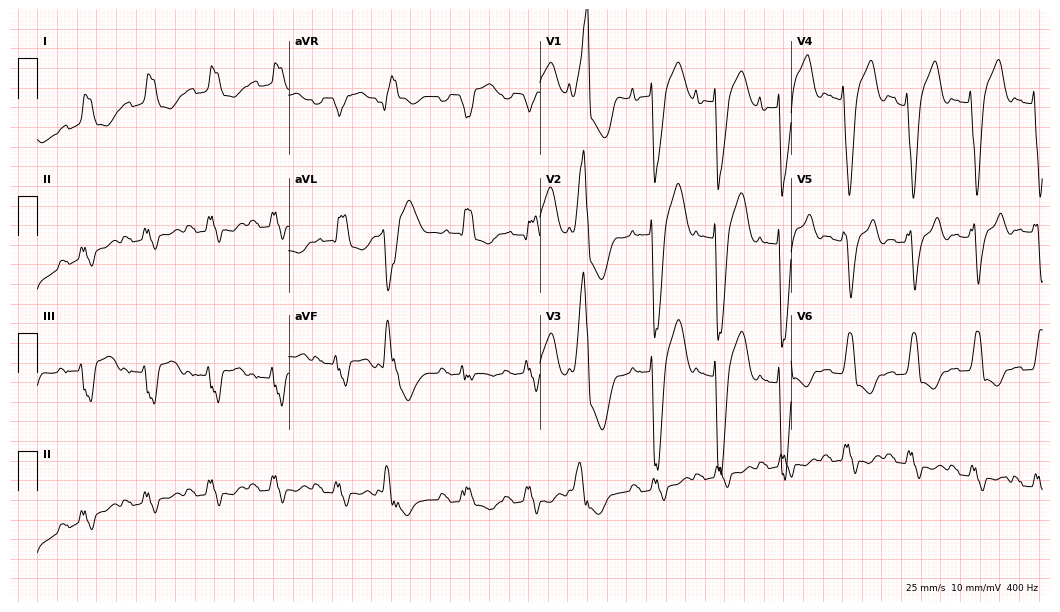
Standard 12-lead ECG recorded from a male, 74 years old (10.2-second recording at 400 Hz). The tracing shows left bundle branch block, atrial fibrillation.